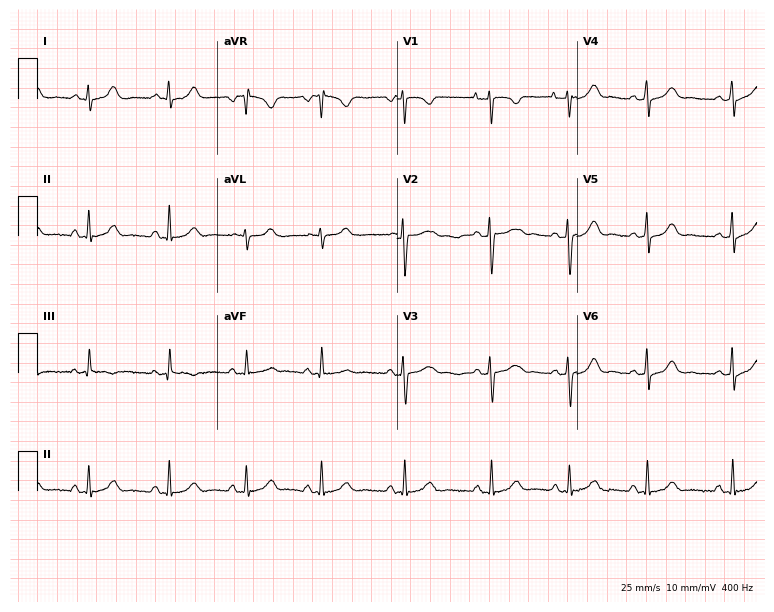
Resting 12-lead electrocardiogram. Patient: a woman, 26 years old. None of these six findings is recorded: first-degree AV block, right bundle branch block, left bundle branch block, sinus bradycardia, atrial fibrillation, sinus tachycardia. Only these six findings were labelled.